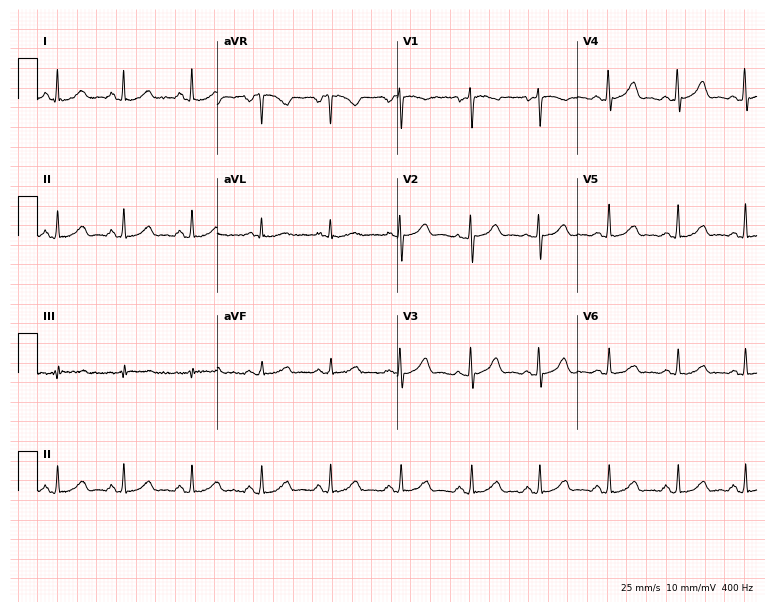
Resting 12-lead electrocardiogram (7.3-second recording at 400 Hz). Patient: a 39-year-old female. None of these six findings is recorded: first-degree AV block, right bundle branch block (RBBB), left bundle branch block (LBBB), sinus bradycardia, atrial fibrillation (AF), sinus tachycardia.